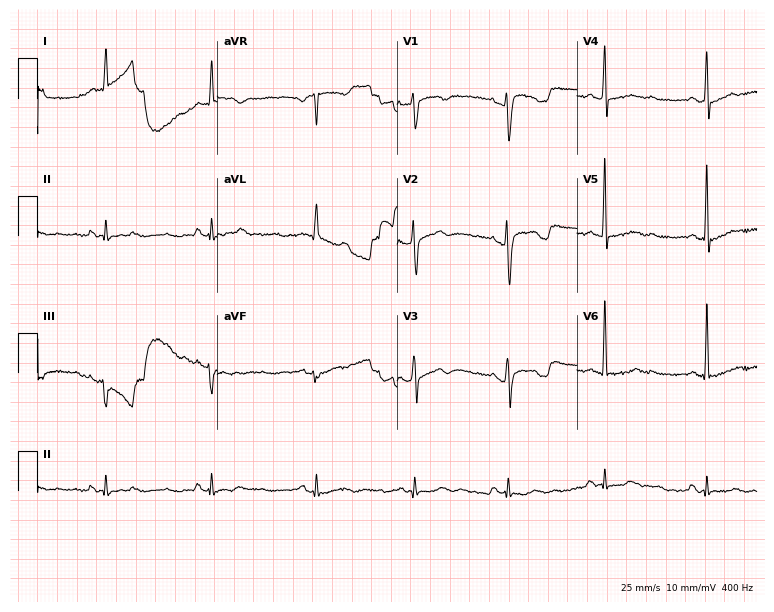
Resting 12-lead electrocardiogram. Patient: a female, 53 years old. Read as a normal ECG.